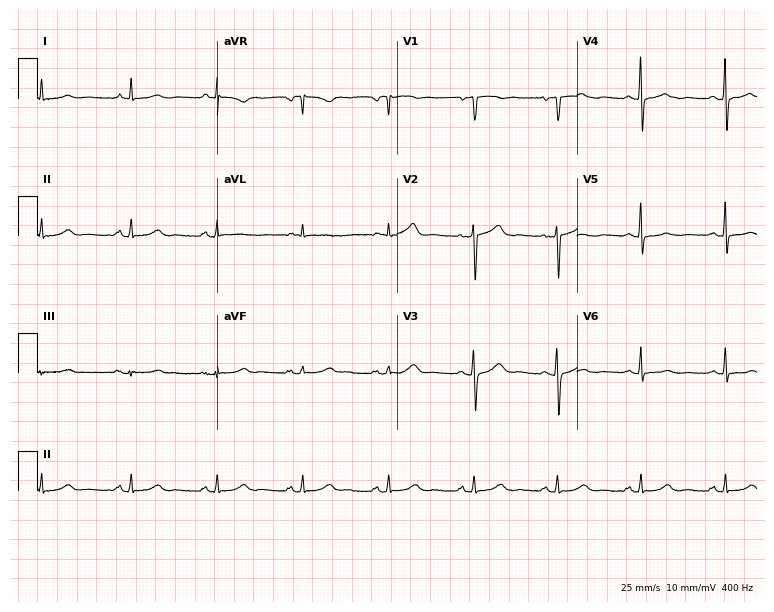
Electrocardiogram (7.3-second recording at 400 Hz), a female, 47 years old. Overall reading on record: normal ECG.